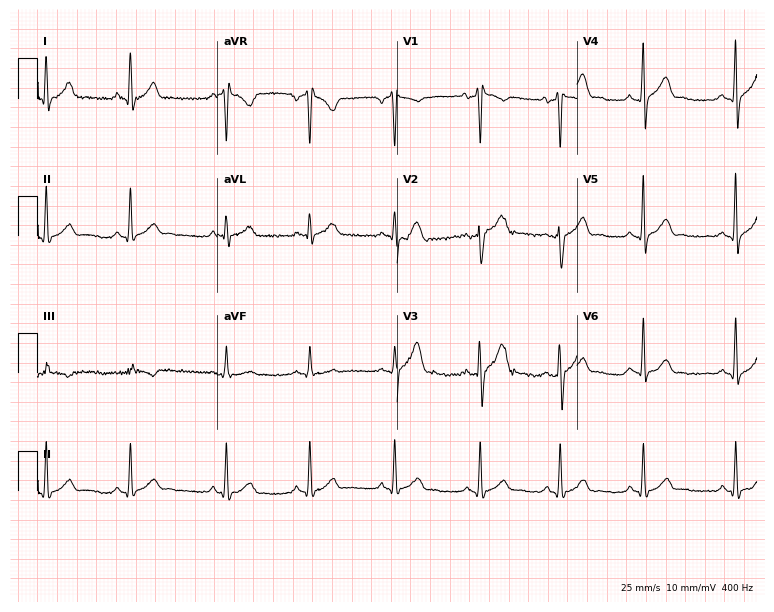
ECG (7.3-second recording at 400 Hz) — a male patient, 26 years old. Labelled as a normal ECG.